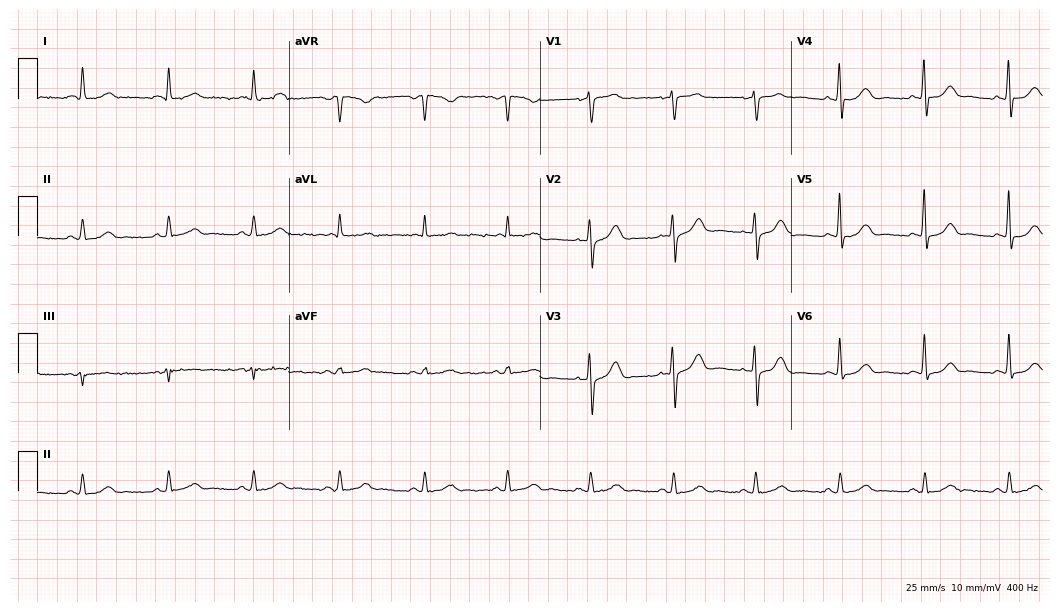
Electrocardiogram, a 46-year-old female patient. Overall reading on record: normal ECG.